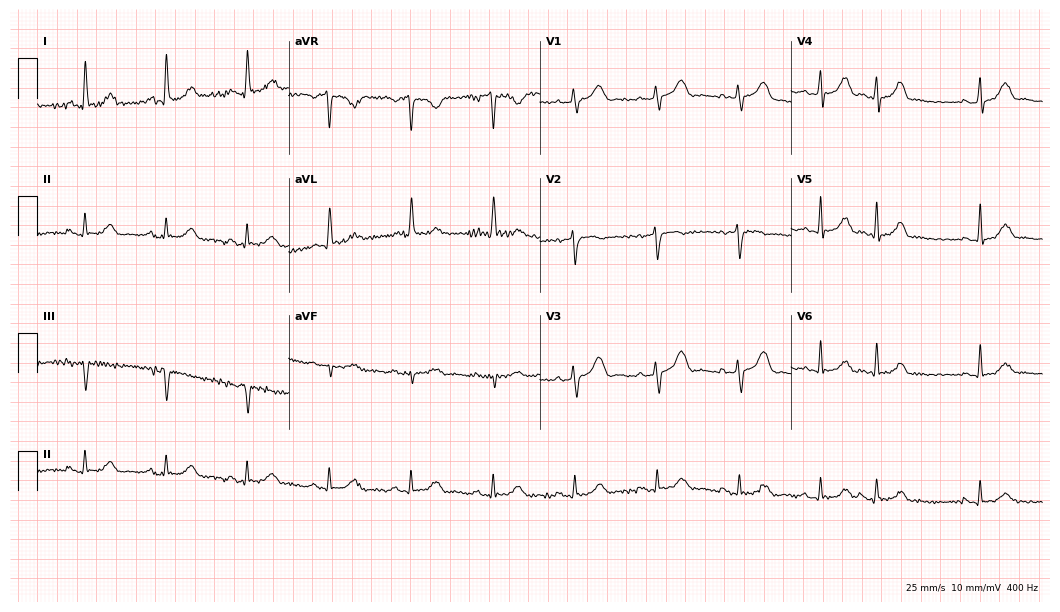
ECG — a woman, 84 years old. Labelled as a normal ECG.